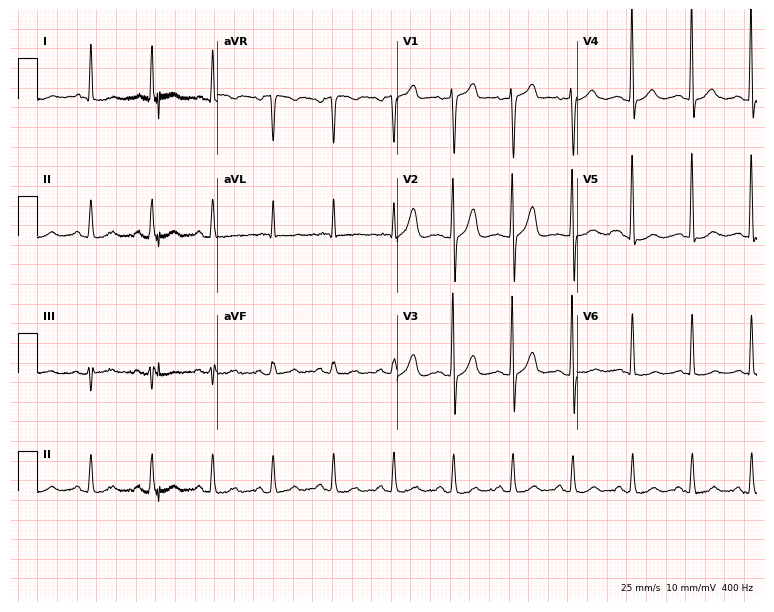
12-lead ECG (7.3-second recording at 400 Hz) from a man, 80 years old. Labelled as a normal ECG.